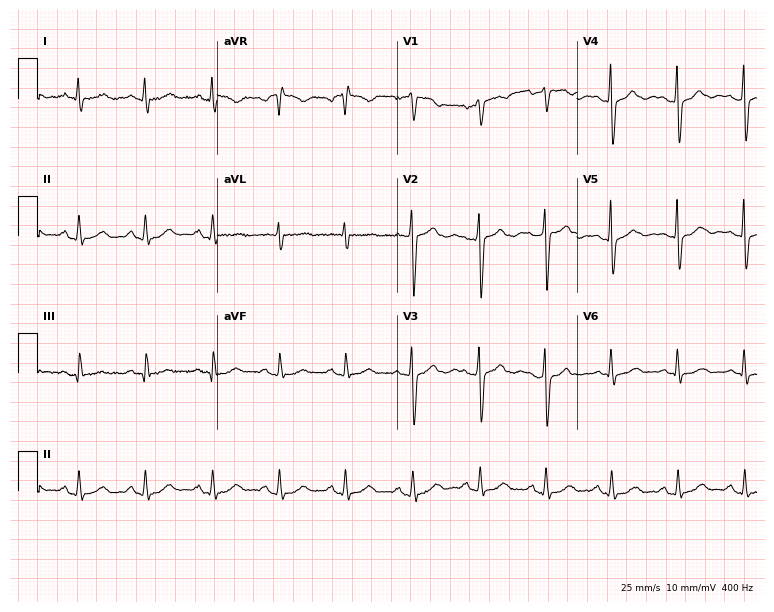
Resting 12-lead electrocardiogram. Patient: a 53-year-old woman. None of these six findings is recorded: first-degree AV block, right bundle branch block, left bundle branch block, sinus bradycardia, atrial fibrillation, sinus tachycardia. Only these six findings were labelled.